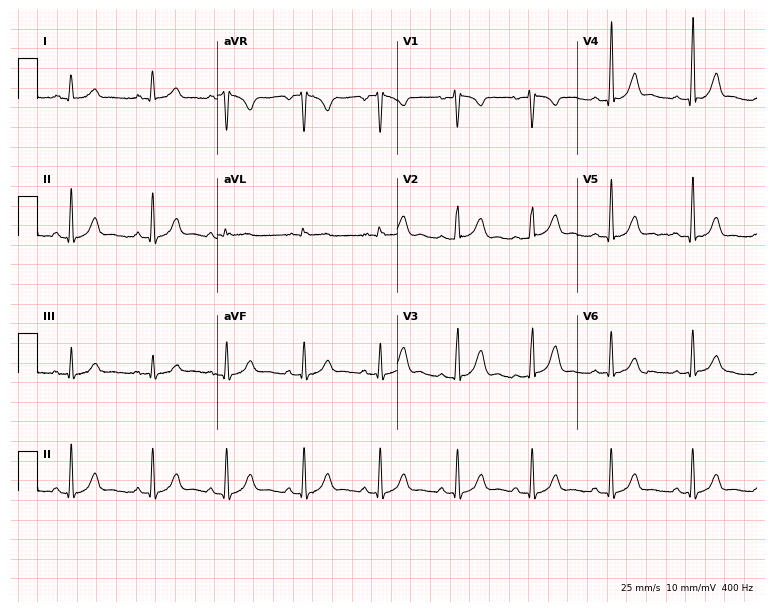
Standard 12-lead ECG recorded from a female patient, 30 years old (7.3-second recording at 400 Hz). None of these six findings is recorded: first-degree AV block, right bundle branch block, left bundle branch block, sinus bradycardia, atrial fibrillation, sinus tachycardia.